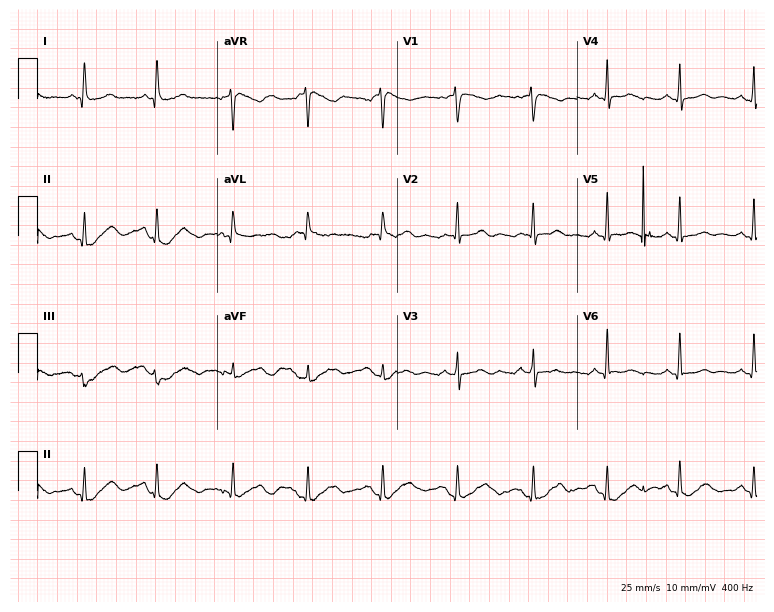
12-lead ECG from a woman, 71 years old (7.3-second recording at 400 Hz). No first-degree AV block, right bundle branch block (RBBB), left bundle branch block (LBBB), sinus bradycardia, atrial fibrillation (AF) or sinus tachycardia recorded for this tracing. Only these six findings were labelled.